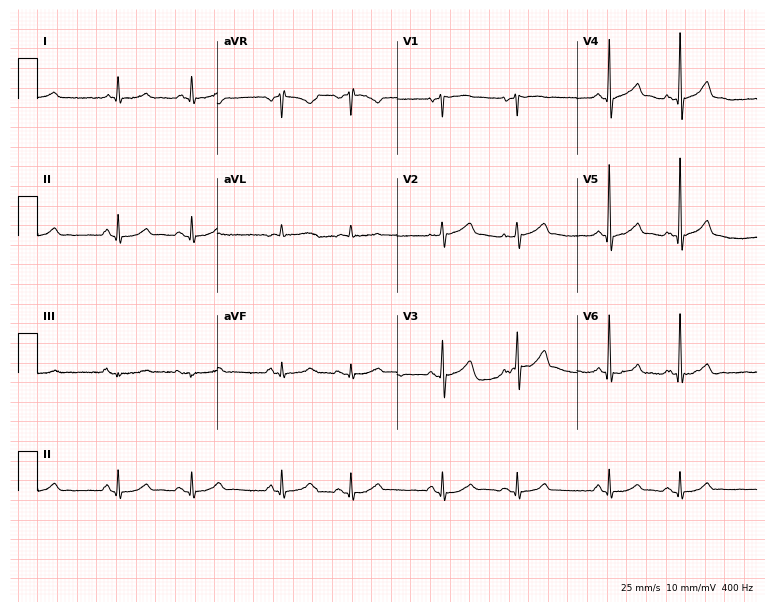
Electrocardiogram, an 84-year-old male. Of the six screened findings (first-degree AV block, right bundle branch block, left bundle branch block, sinus bradycardia, atrial fibrillation, sinus tachycardia), none is recorded. Only these six findings were labelled.